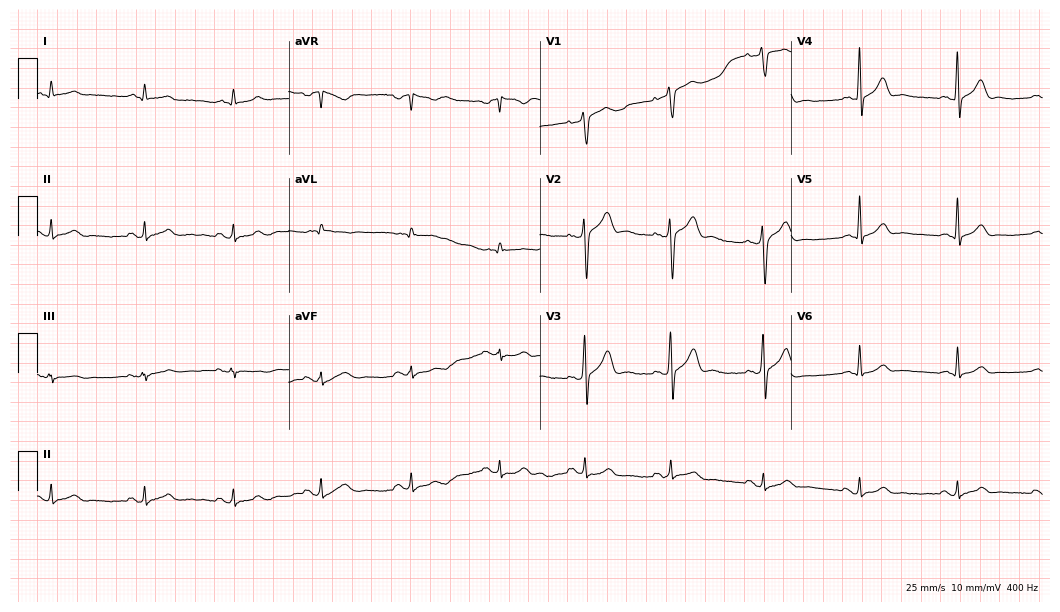
Resting 12-lead electrocardiogram. Patient: a 44-year-old male. None of these six findings is recorded: first-degree AV block, right bundle branch block, left bundle branch block, sinus bradycardia, atrial fibrillation, sinus tachycardia.